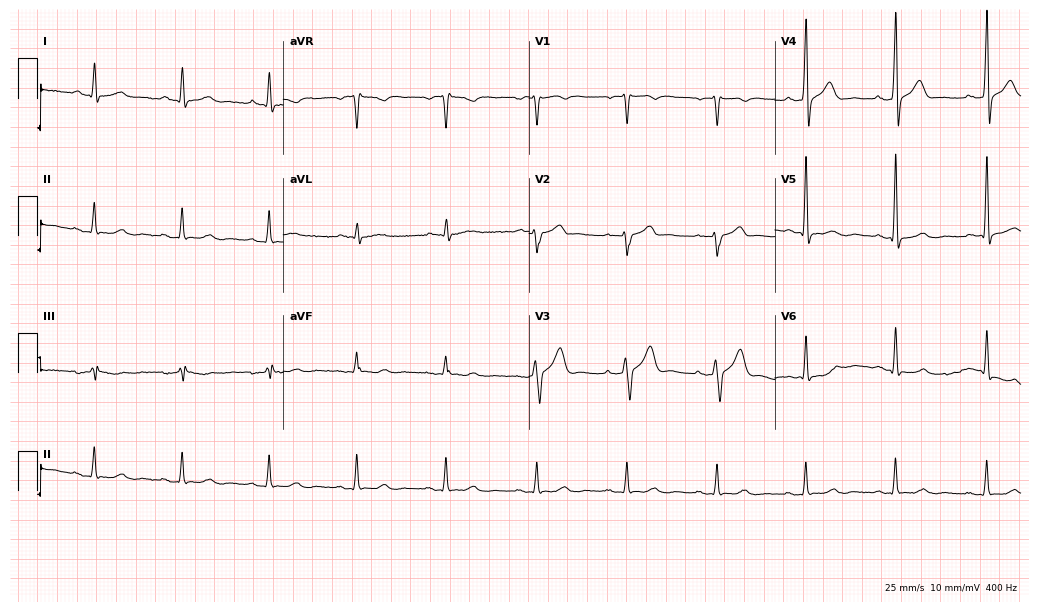
ECG (10-second recording at 400 Hz) — a male, 75 years old. Labelled as a normal ECG.